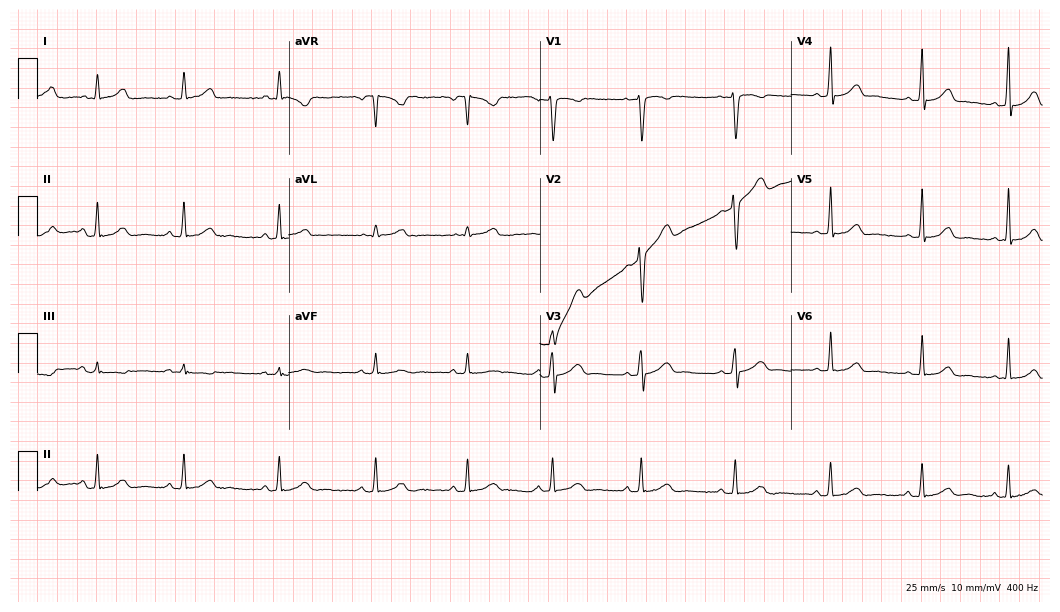
Standard 12-lead ECG recorded from a 27-year-old female (10.2-second recording at 400 Hz). None of these six findings is recorded: first-degree AV block, right bundle branch block (RBBB), left bundle branch block (LBBB), sinus bradycardia, atrial fibrillation (AF), sinus tachycardia. Only these six findings were labelled.